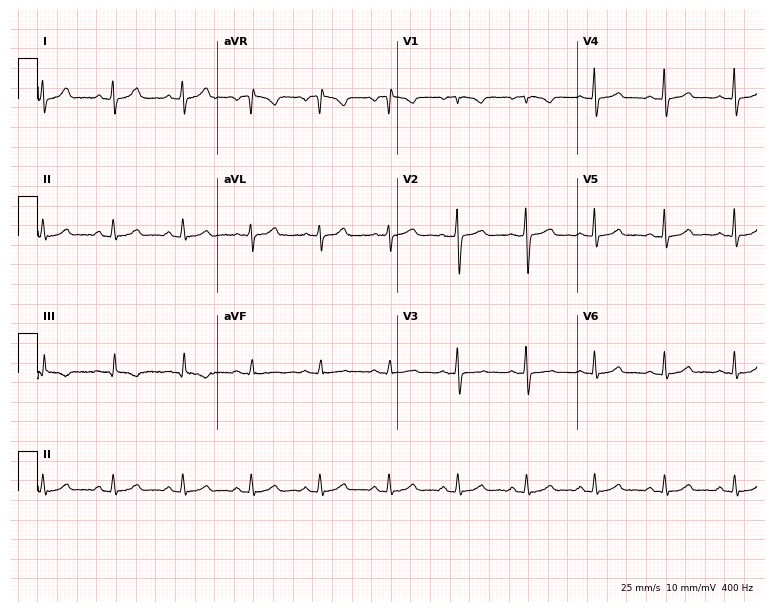
12-lead ECG from a 43-year-old woman. Labelled as a normal ECG.